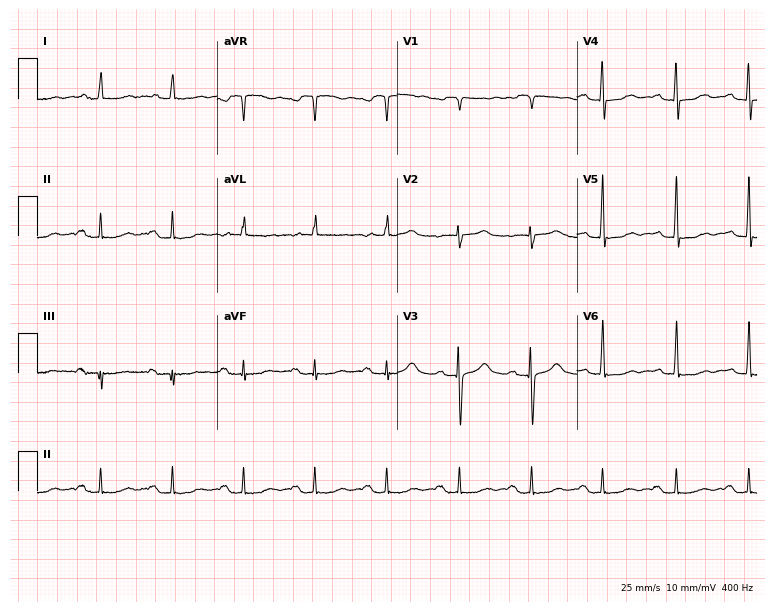
12-lead ECG from a 70-year-old female patient (7.3-second recording at 400 Hz). Recorded interpretation: within normal limits.